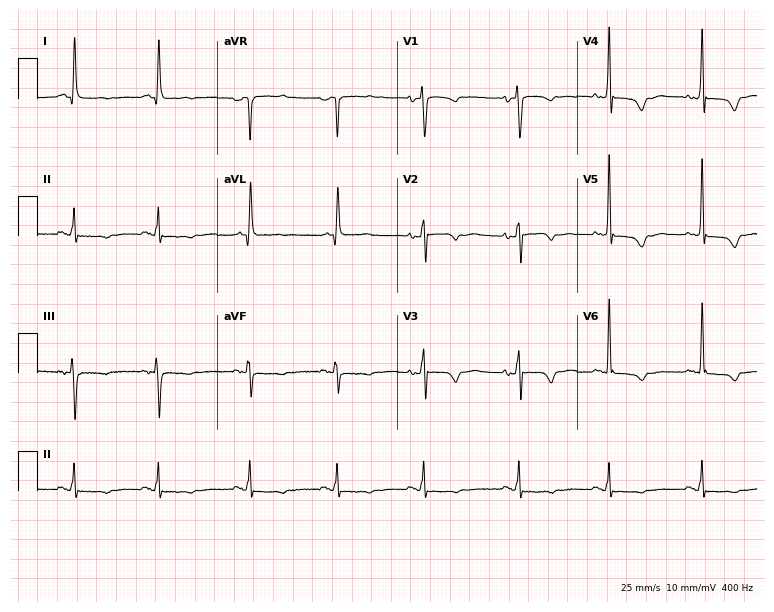
ECG — a 73-year-old woman. Screened for six findings — first-degree AV block, right bundle branch block (RBBB), left bundle branch block (LBBB), sinus bradycardia, atrial fibrillation (AF), sinus tachycardia — none is recorded.